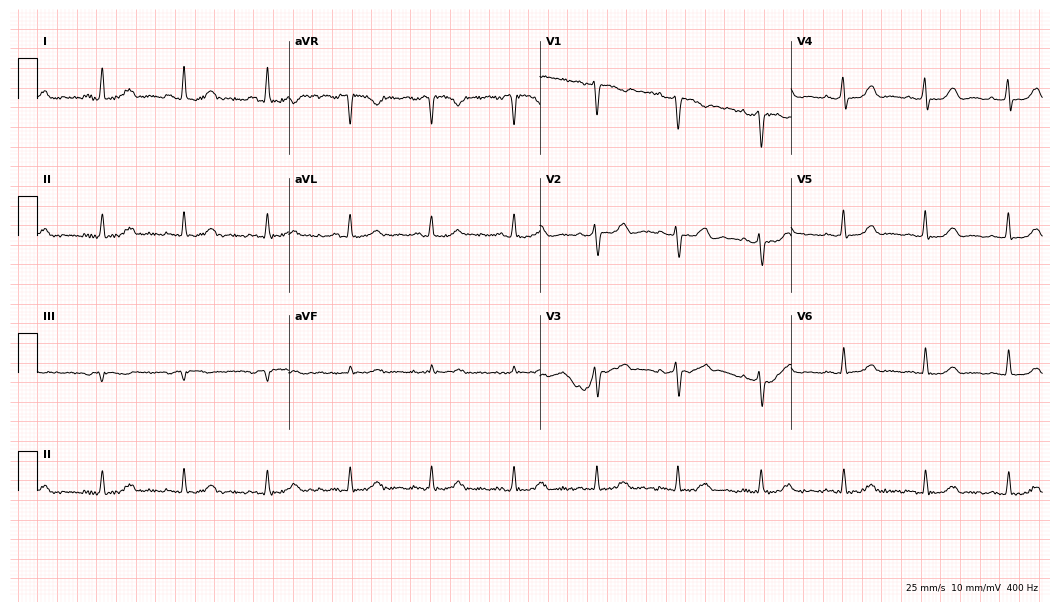
ECG (10.2-second recording at 400 Hz) — a female patient, 52 years old. Labelled as a normal ECG.